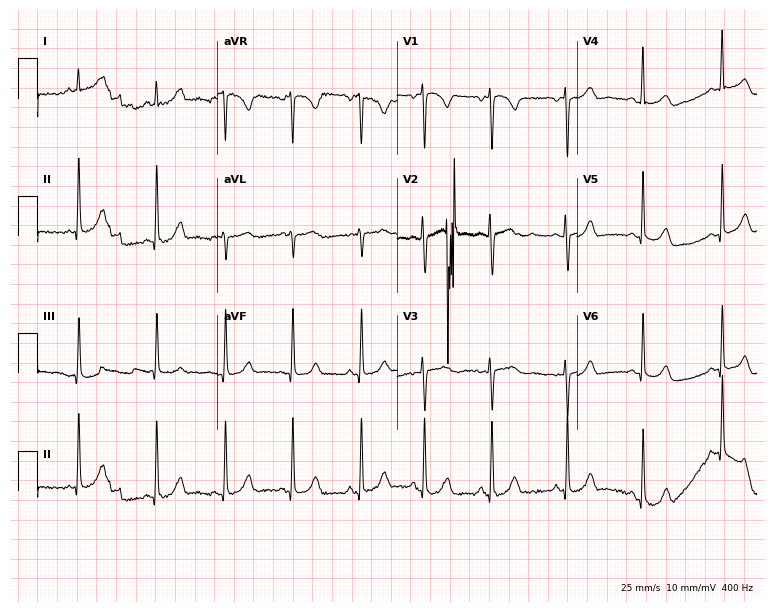
Resting 12-lead electrocardiogram. Patient: a 26-year-old female. Read as a normal ECG.